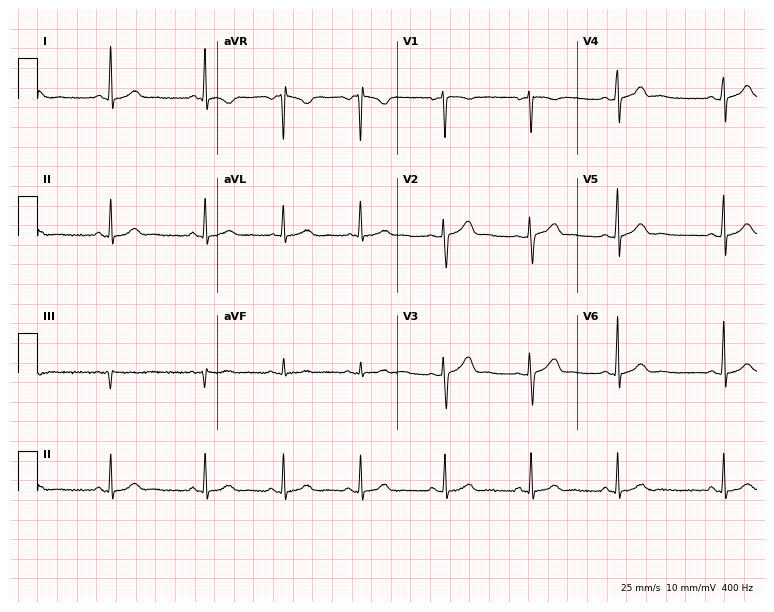
Electrocardiogram, a male, 29 years old. Overall reading on record: normal ECG.